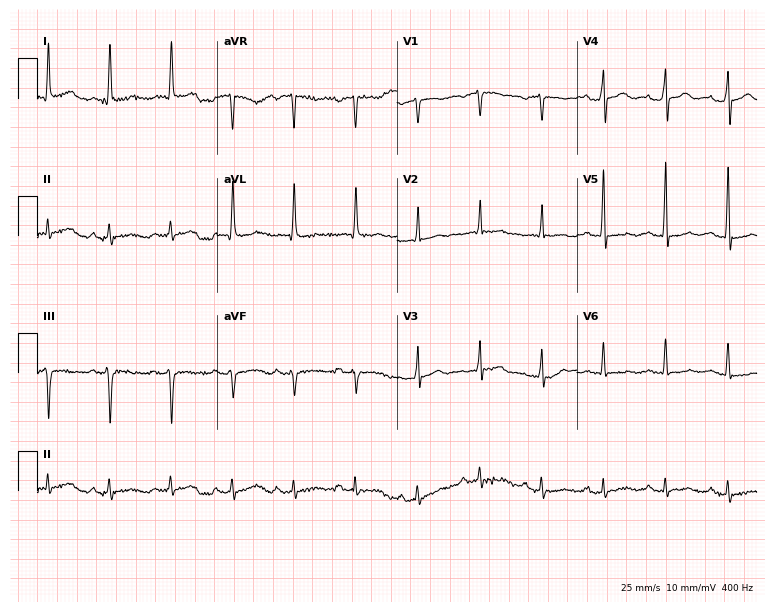
Electrocardiogram, a 70-year-old female patient. Overall reading on record: normal ECG.